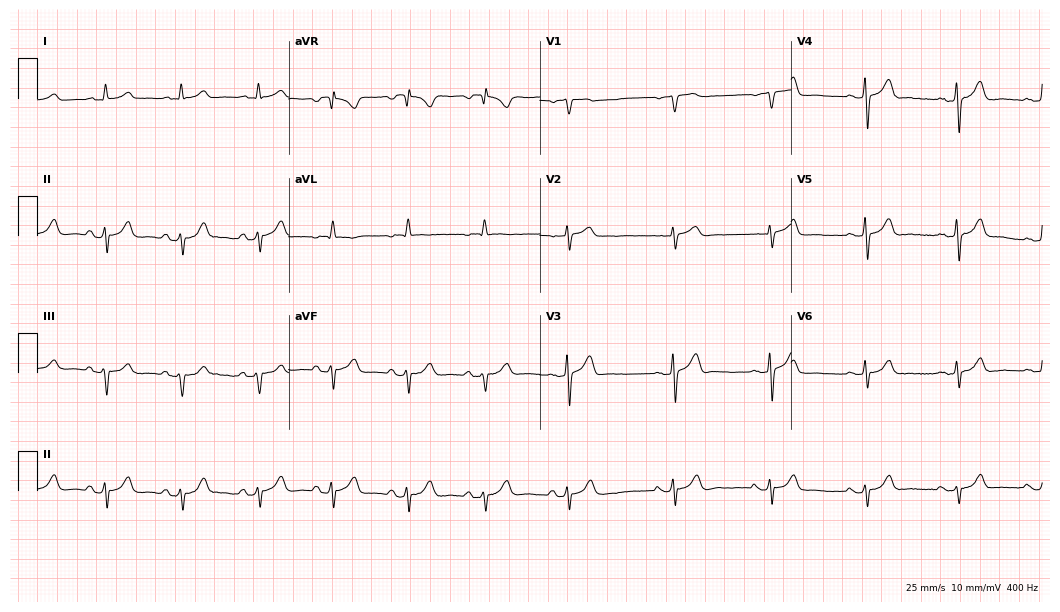
12-lead ECG from a 77-year-old man. No first-degree AV block, right bundle branch block (RBBB), left bundle branch block (LBBB), sinus bradycardia, atrial fibrillation (AF) or sinus tachycardia recorded for this tracing. Only these six findings were labelled.